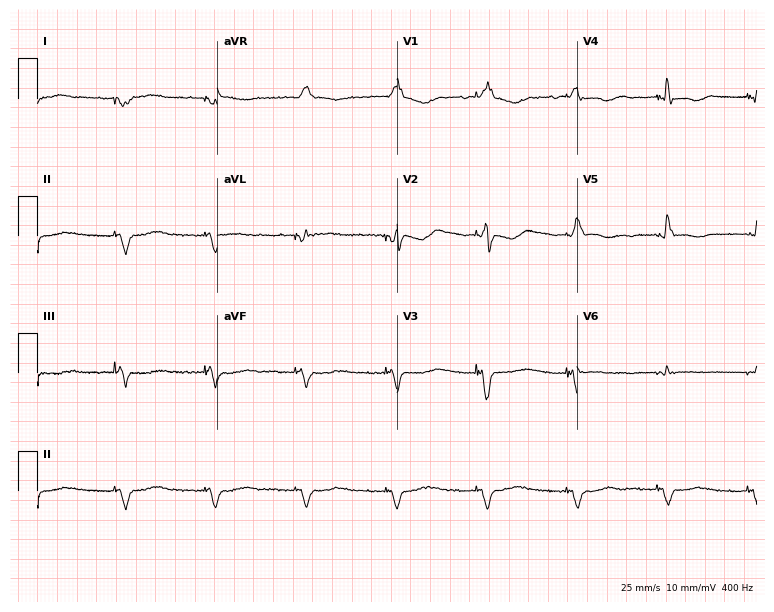
12-lead ECG from a man, 59 years old. Screened for six findings — first-degree AV block, right bundle branch block, left bundle branch block, sinus bradycardia, atrial fibrillation, sinus tachycardia — none is recorded.